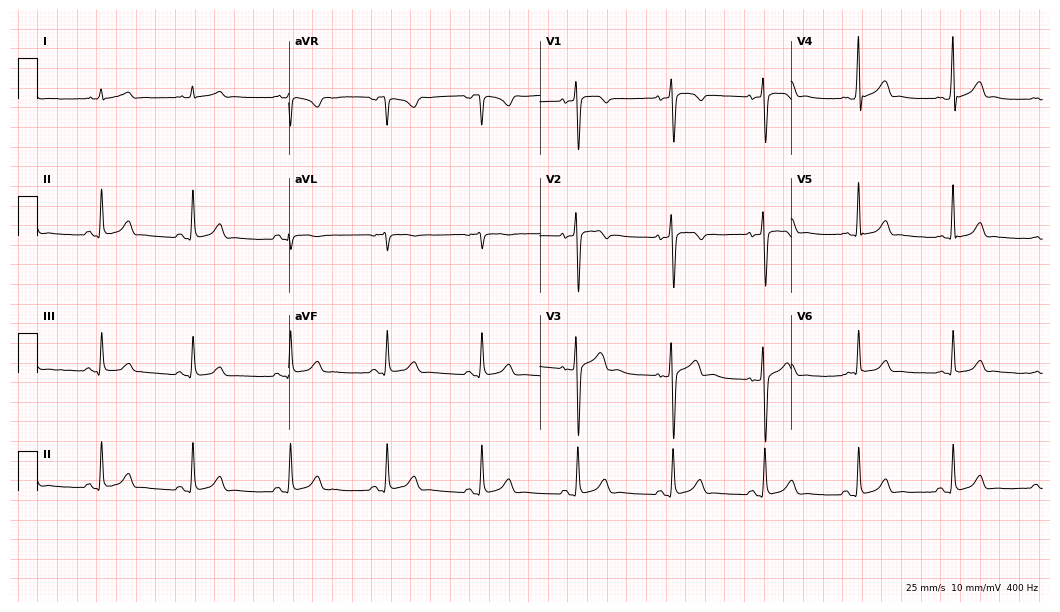
12-lead ECG (10.2-second recording at 400 Hz) from a male patient, 29 years old. Screened for six findings — first-degree AV block, right bundle branch block, left bundle branch block, sinus bradycardia, atrial fibrillation, sinus tachycardia — none is recorded. Only these six findings were labelled.